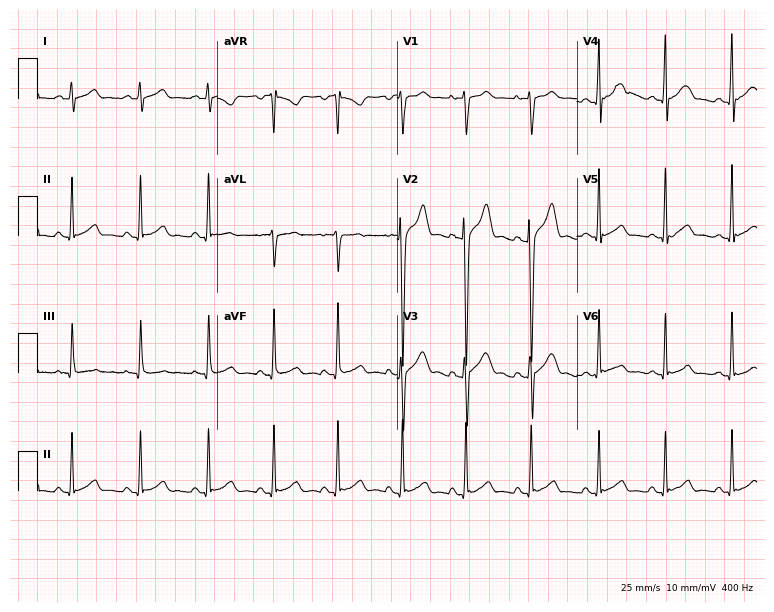
Standard 12-lead ECG recorded from an 18-year-old male. Read as a normal ECG.